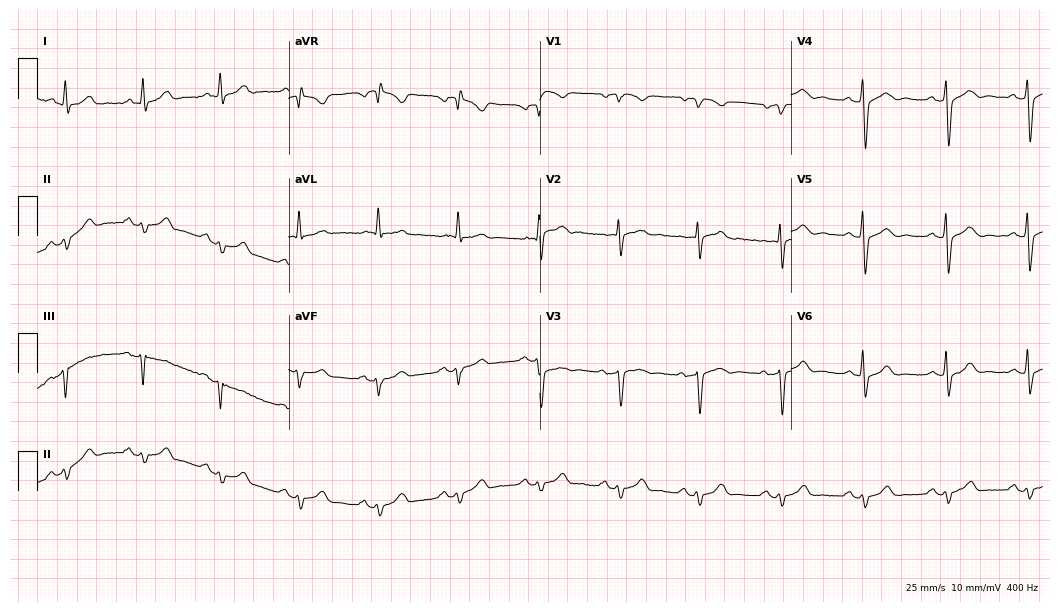
12-lead ECG from a male, 62 years old. No first-degree AV block, right bundle branch block, left bundle branch block, sinus bradycardia, atrial fibrillation or sinus tachycardia recorded for this tracing.